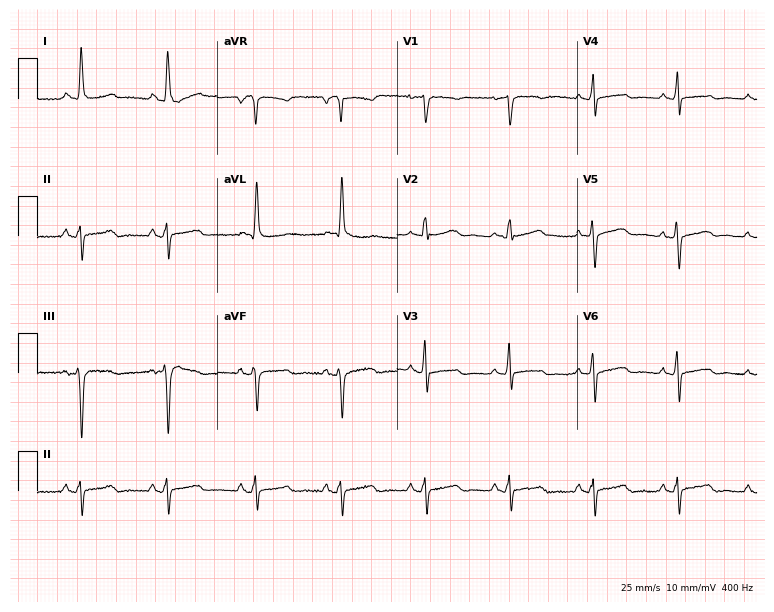
ECG — a female, 70 years old. Screened for six findings — first-degree AV block, right bundle branch block (RBBB), left bundle branch block (LBBB), sinus bradycardia, atrial fibrillation (AF), sinus tachycardia — none is recorded. Findings outside these six are not listed.